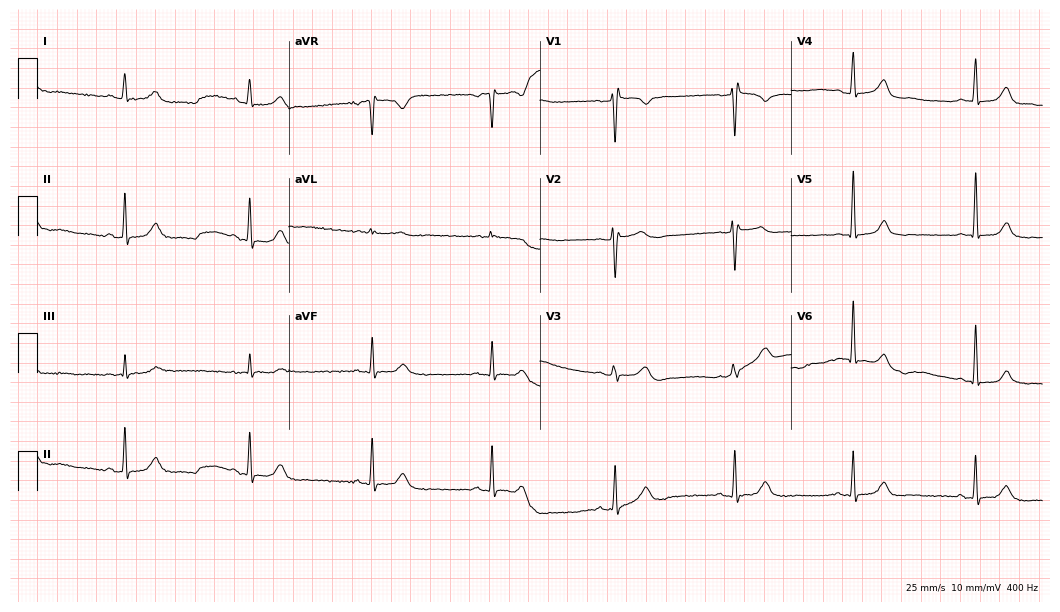
12-lead ECG (10.2-second recording at 400 Hz) from a female, 53 years old. Screened for six findings — first-degree AV block, right bundle branch block, left bundle branch block, sinus bradycardia, atrial fibrillation, sinus tachycardia — none is recorded. Other findings, if any, are not listed.